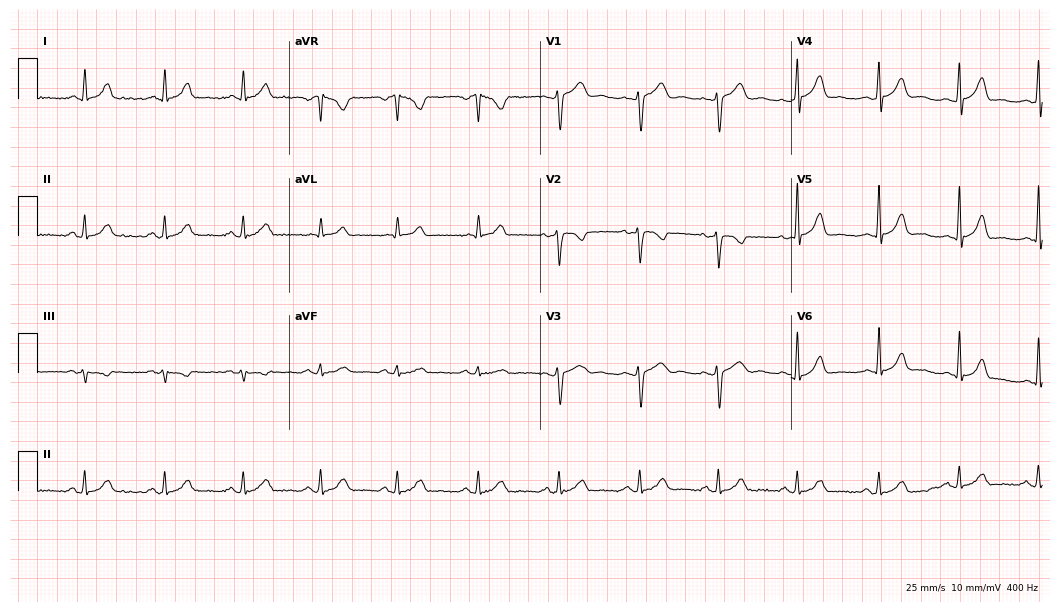
12-lead ECG from a woman, 29 years old (10.2-second recording at 400 Hz). Recorded interpretation: within normal limits.